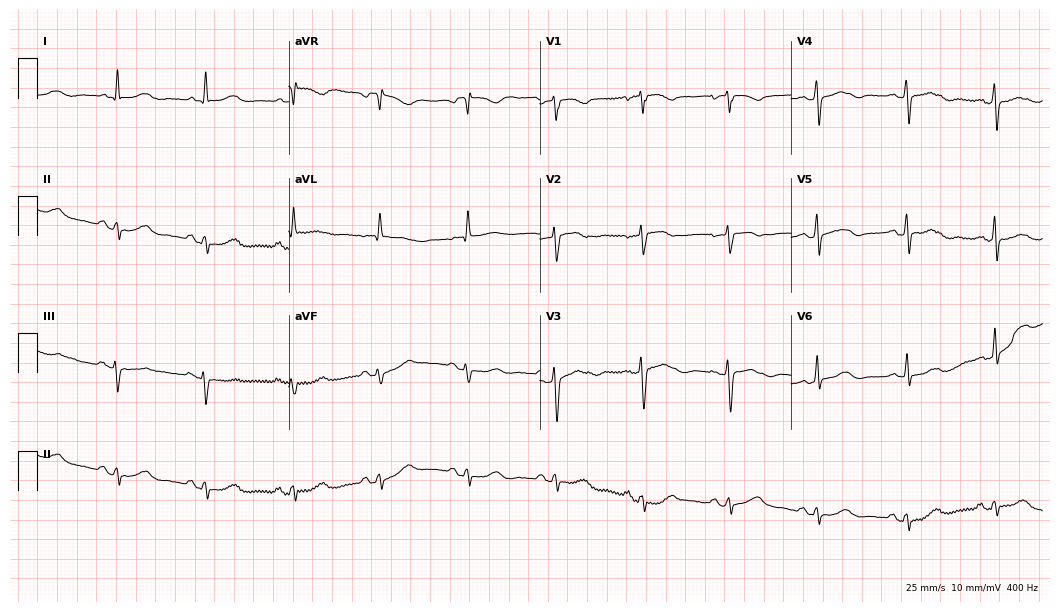
Standard 12-lead ECG recorded from a female, 81 years old. None of these six findings is recorded: first-degree AV block, right bundle branch block, left bundle branch block, sinus bradycardia, atrial fibrillation, sinus tachycardia. Other findings, if any, are not listed.